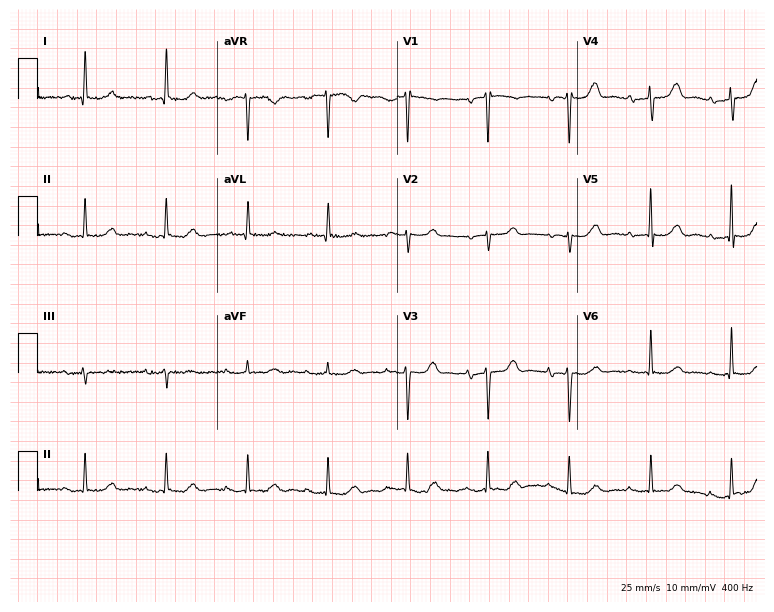
12-lead ECG from a woman, 74 years old. No first-degree AV block, right bundle branch block, left bundle branch block, sinus bradycardia, atrial fibrillation or sinus tachycardia recorded for this tracing. Other findings, if any, are not listed.